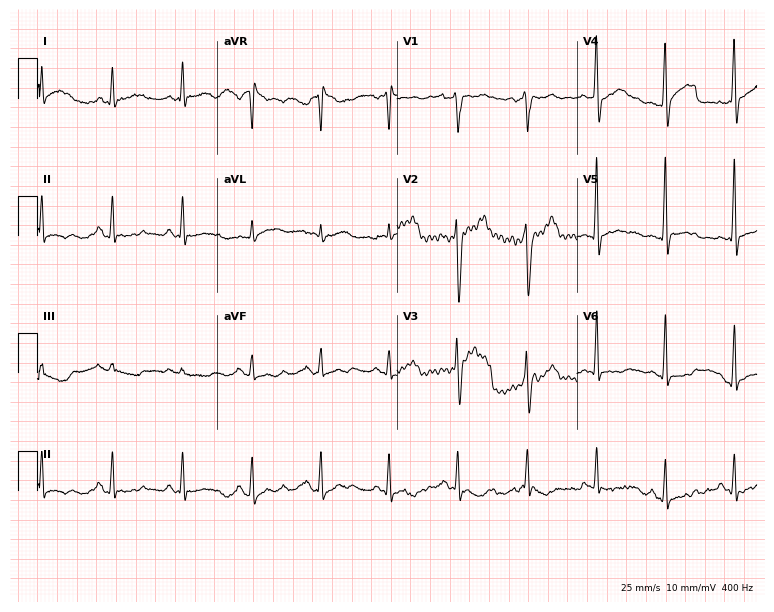
Standard 12-lead ECG recorded from a male, 53 years old. None of these six findings is recorded: first-degree AV block, right bundle branch block, left bundle branch block, sinus bradycardia, atrial fibrillation, sinus tachycardia. Other findings, if any, are not listed.